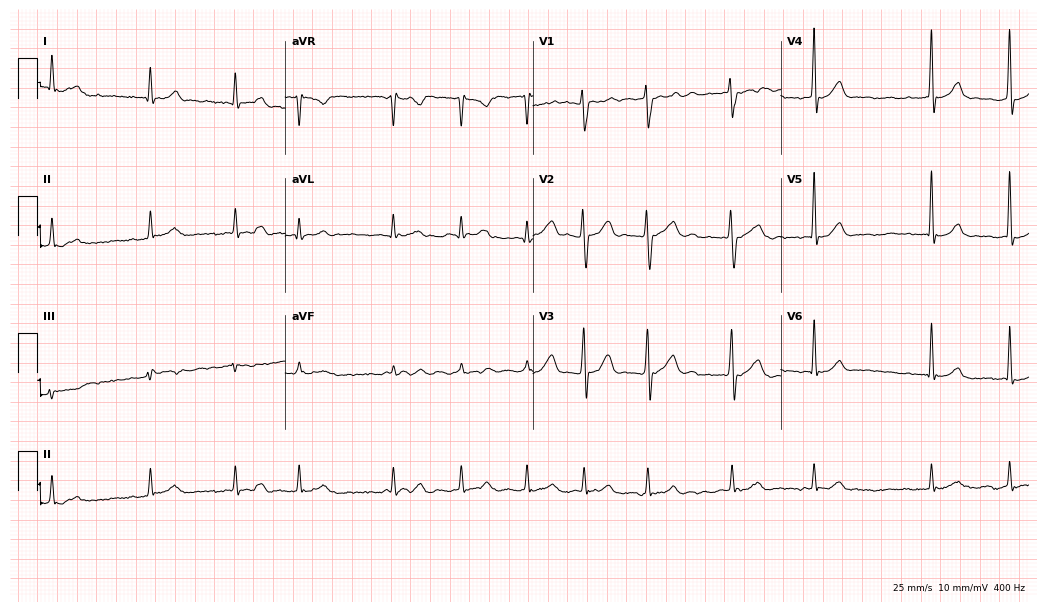
Electrocardiogram, a 69-year-old man. Interpretation includes atrial fibrillation (AF).